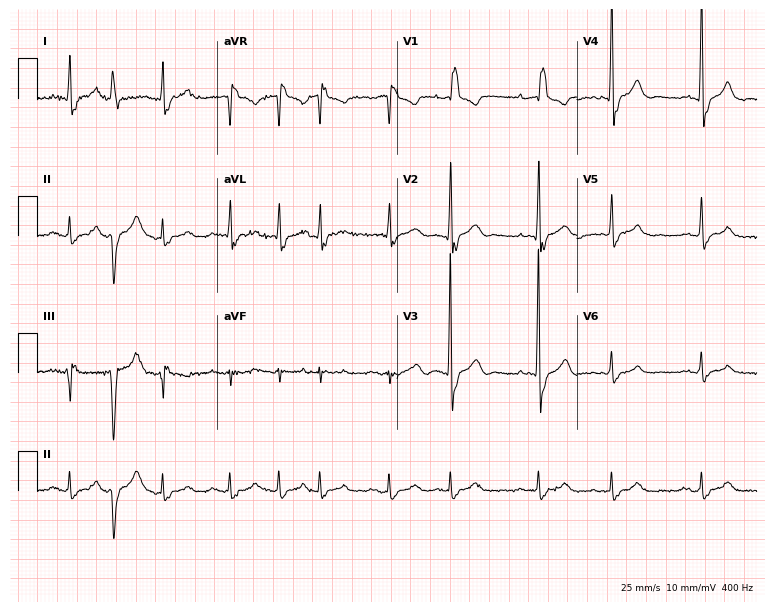
Standard 12-lead ECG recorded from an 81-year-old male patient (7.3-second recording at 400 Hz). The tracing shows right bundle branch block.